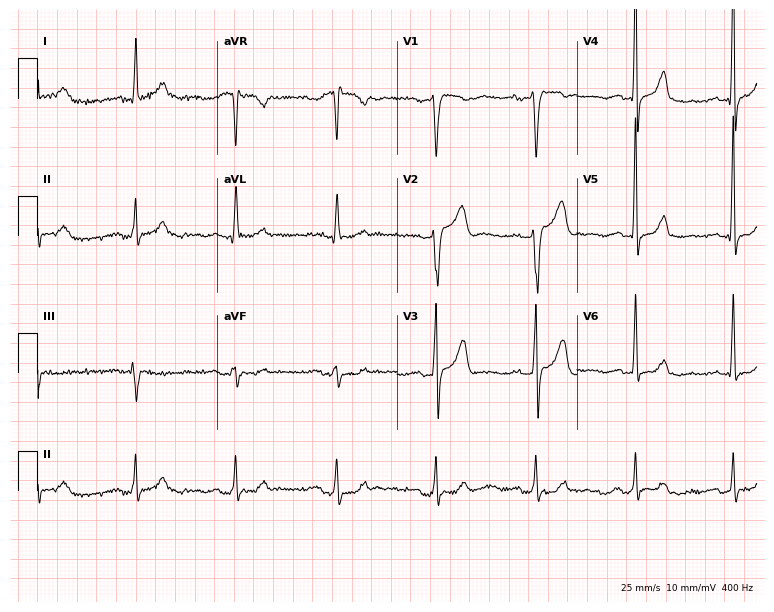
Standard 12-lead ECG recorded from a 60-year-old male patient. None of these six findings is recorded: first-degree AV block, right bundle branch block, left bundle branch block, sinus bradycardia, atrial fibrillation, sinus tachycardia. Findings outside these six are not listed.